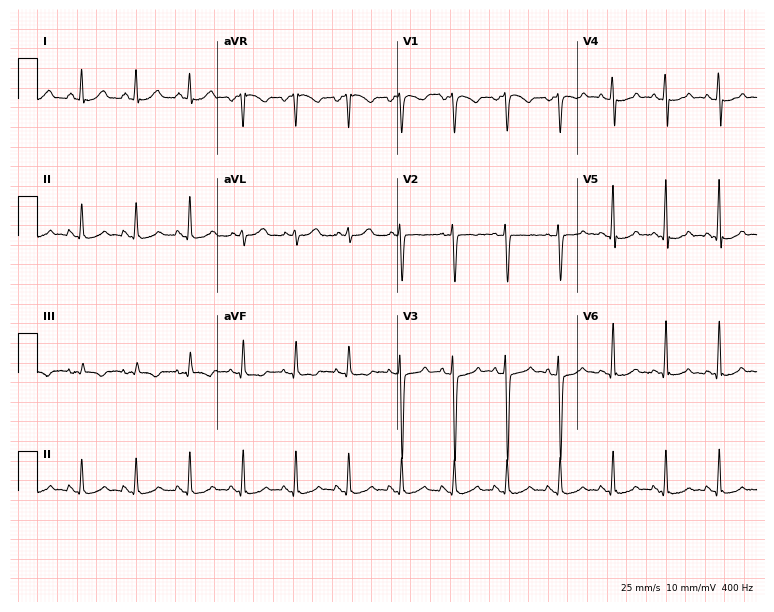
Resting 12-lead electrocardiogram. Patient: a female, 28 years old. The tracing shows sinus tachycardia (a sinus rate of 100 beats per minute or more).